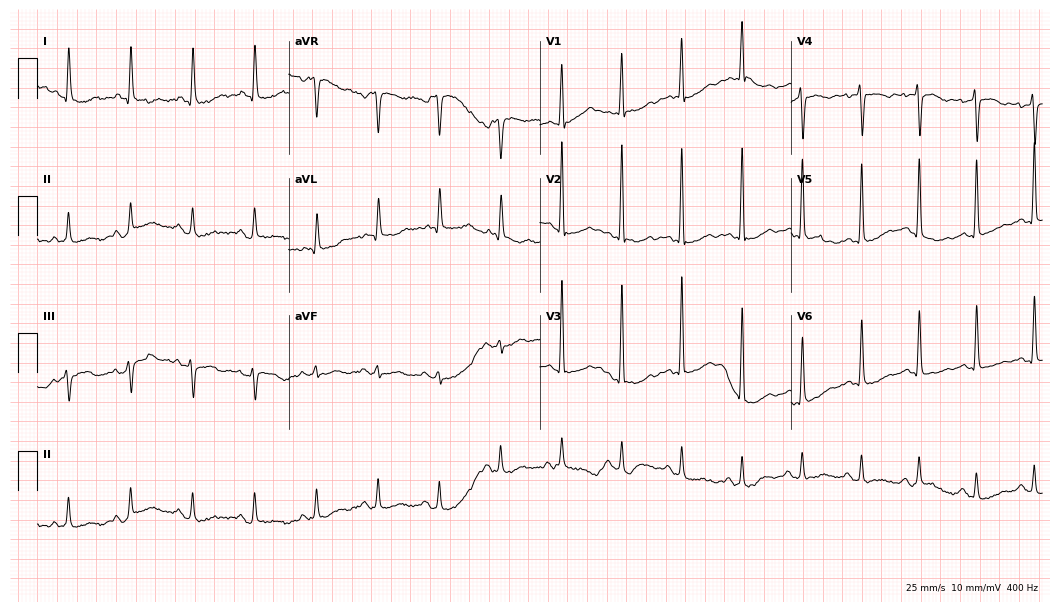
Electrocardiogram (10.2-second recording at 400 Hz), a 56-year-old female patient. Of the six screened findings (first-degree AV block, right bundle branch block (RBBB), left bundle branch block (LBBB), sinus bradycardia, atrial fibrillation (AF), sinus tachycardia), none is recorded. Other findings, if any, are not listed.